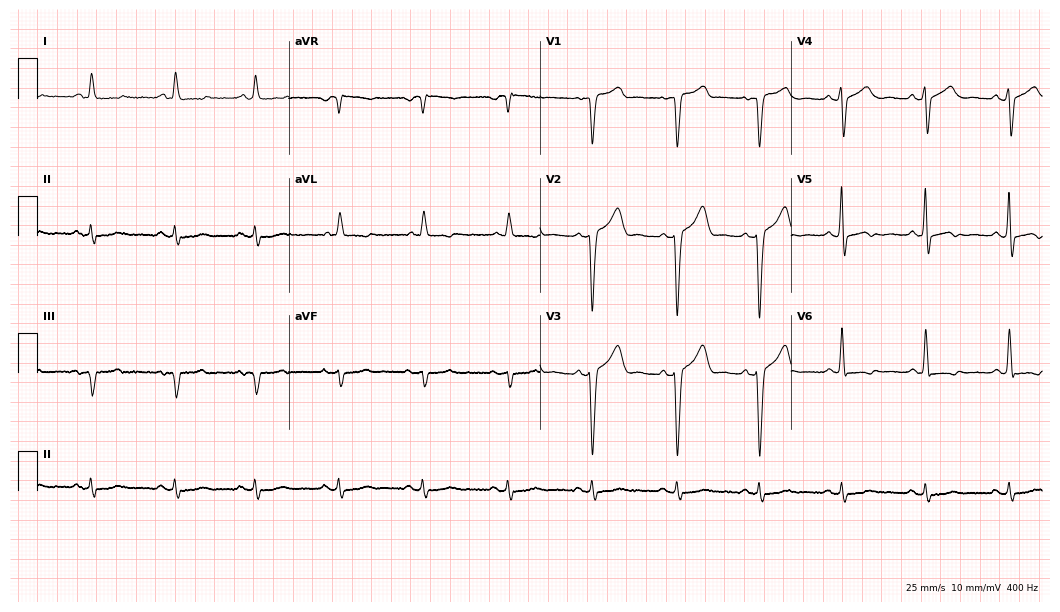
Electrocardiogram, a 69-year-old man. Of the six screened findings (first-degree AV block, right bundle branch block, left bundle branch block, sinus bradycardia, atrial fibrillation, sinus tachycardia), none is recorded.